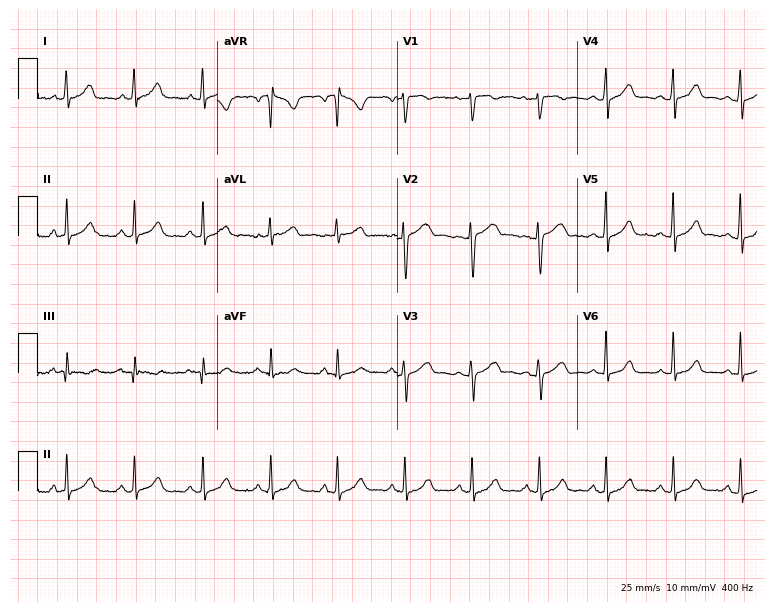
ECG (7.3-second recording at 400 Hz) — a 36-year-old female patient. Labelled as a normal ECG.